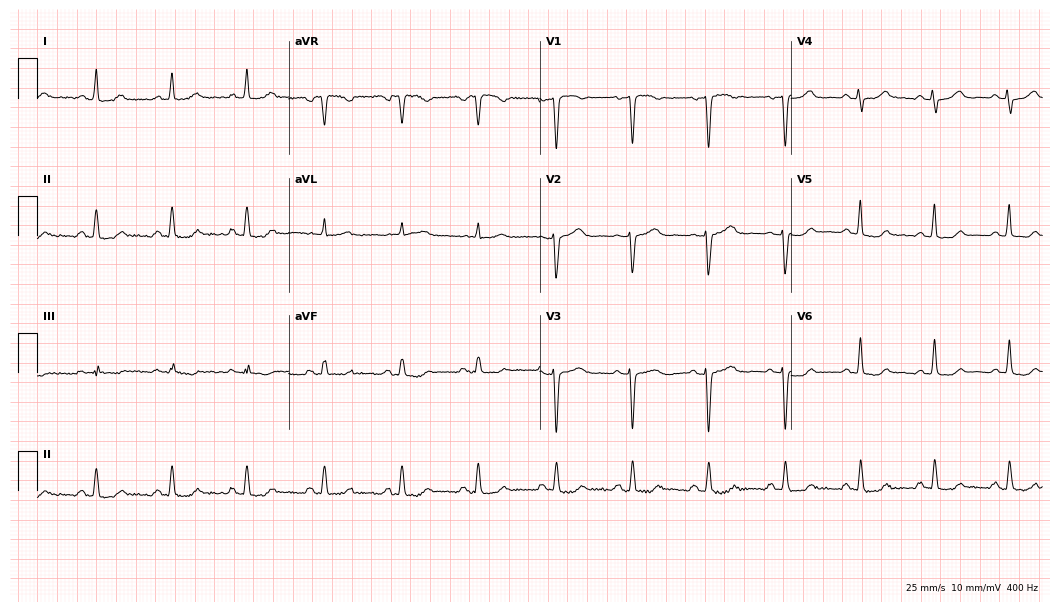
12-lead ECG from a 56-year-old female. Labelled as a normal ECG.